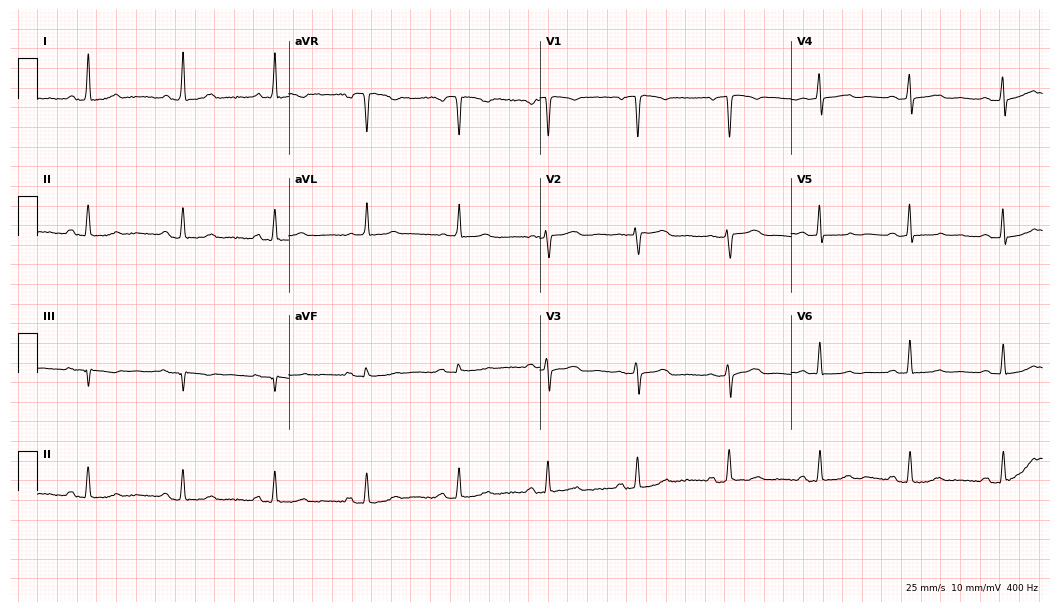
12-lead ECG from a 60-year-old female. Labelled as a normal ECG.